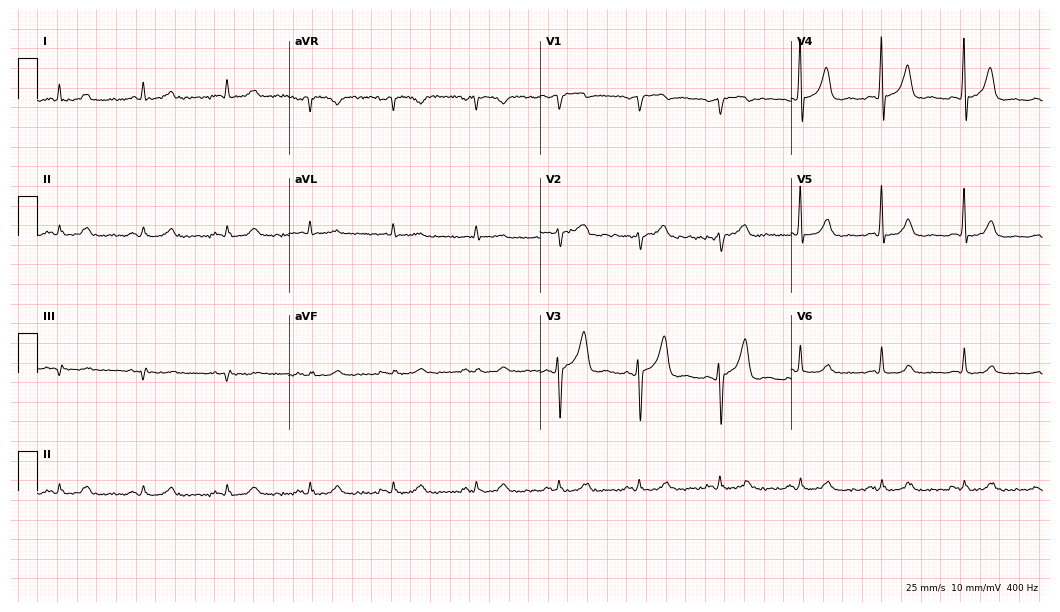
Electrocardiogram (10.2-second recording at 400 Hz), a 55-year-old man. Of the six screened findings (first-degree AV block, right bundle branch block (RBBB), left bundle branch block (LBBB), sinus bradycardia, atrial fibrillation (AF), sinus tachycardia), none is recorded.